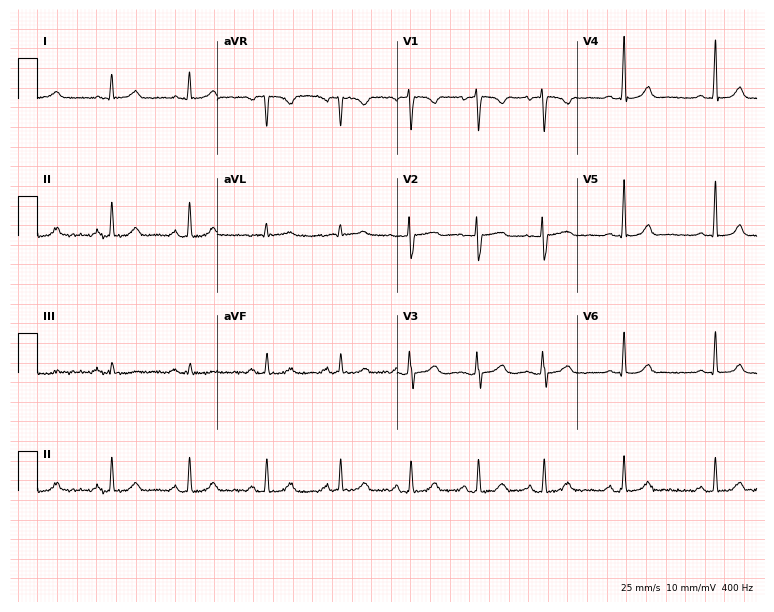
Electrocardiogram, a 34-year-old man. Overall reading on record: normal ECG.